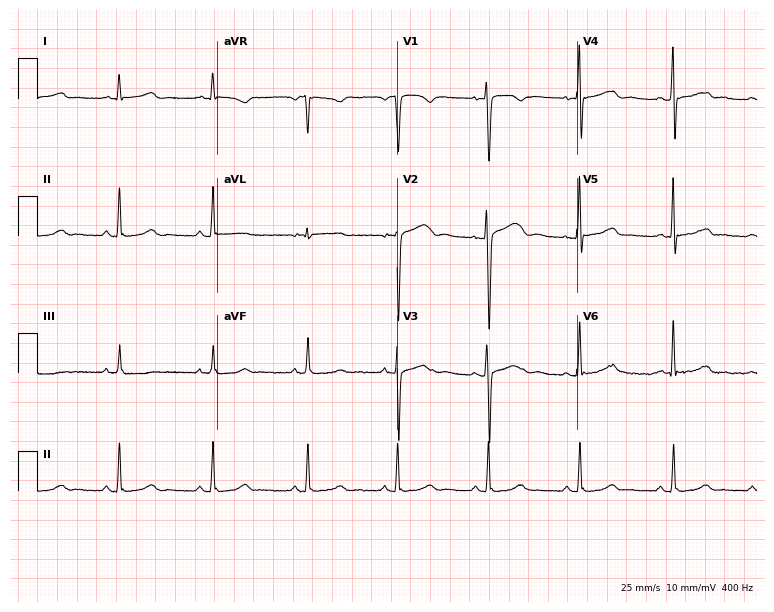
Standard 12-lead ECG recorded from a 47-year-old female patient. None of these six findings is recorded: first-degree AV block, right bundle branch block (RBBB), left bundle branch block (LBBB), sinus bradycardia, atrial fibrillation (AF), sinus tachycardia.